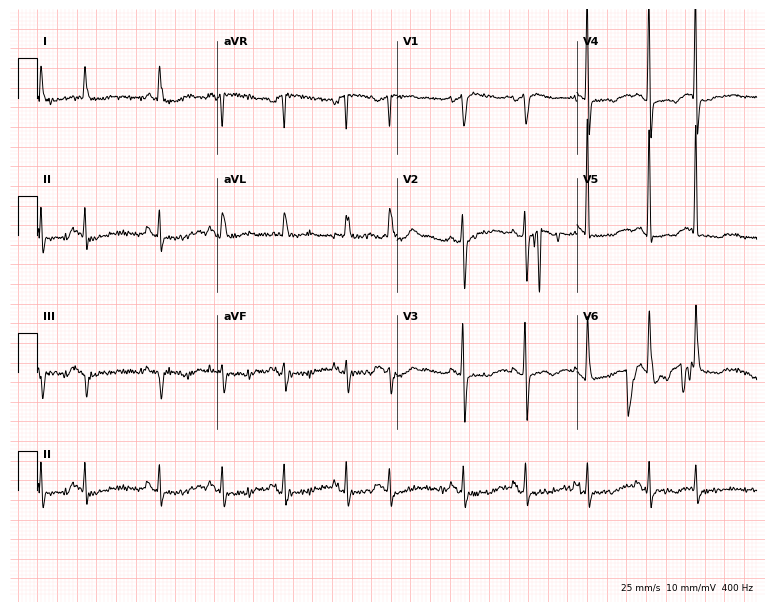
Electrocardiogram, an 84-year-old female patient. Of the six screened findings (first-degree AV block, right bundle branch block, left bundle branch block, sinus bradycardia, atrial fibrillation, sinus tachycardia), none is recorded.